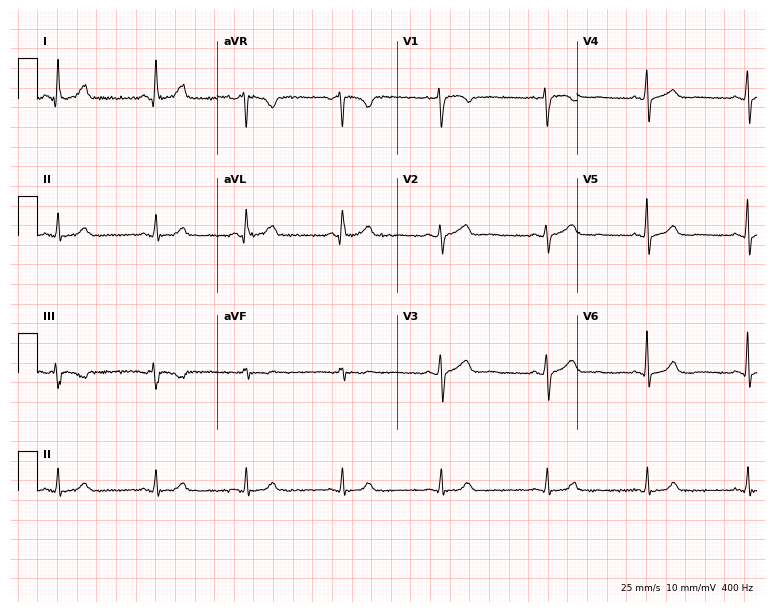
12-lead ECG from a female patient, 54 years old (7.3-second recording at 400 Hz). Recorded interpretation: within normal limits.